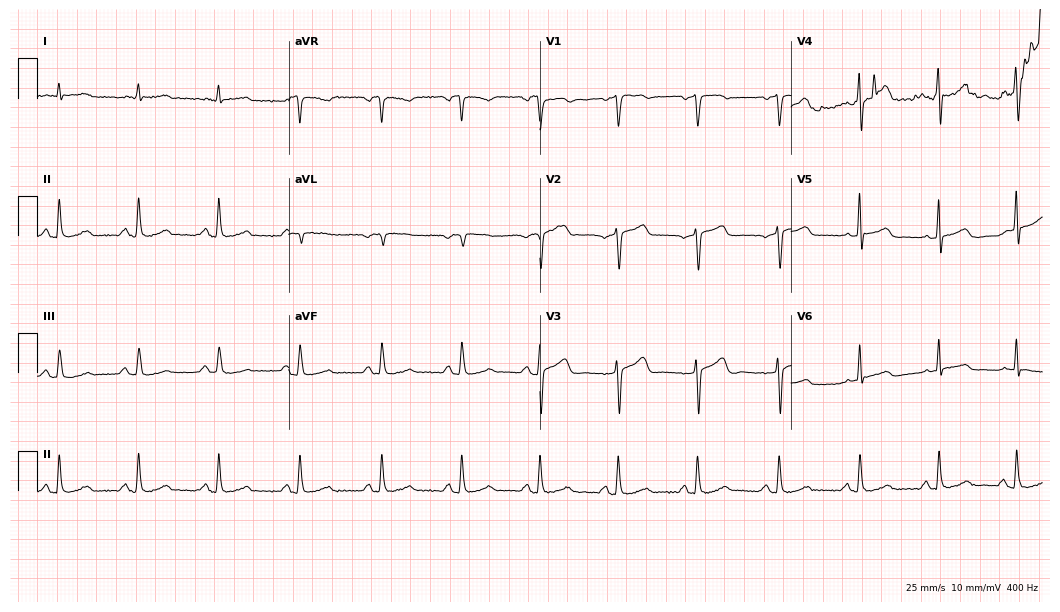
Standard 12-lead ECG recorded from a 78-year-old woman. Read as a normal ECG.